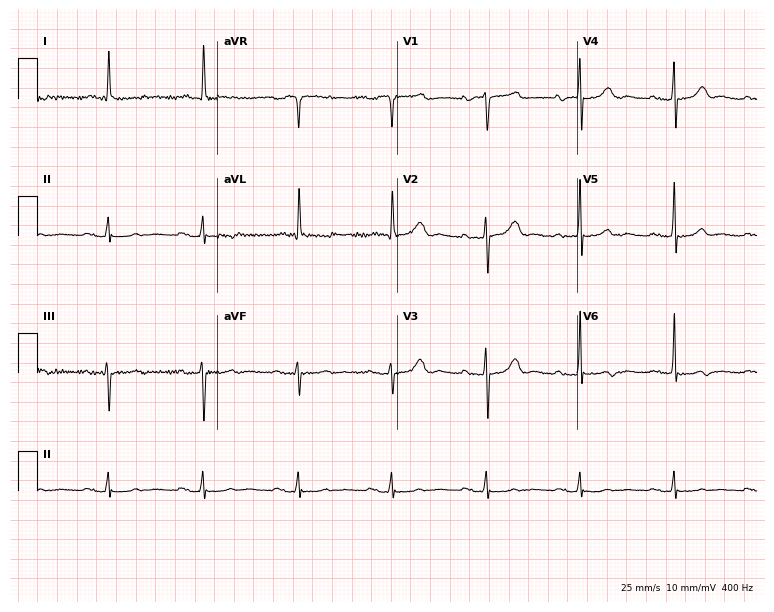
Standard 12-lead ECG recorded from a male patient, 83 years old (7.3-second recording at 400 Hz). None of these six findings is recorded: first-degree AV block, right bundle branch block (RBBB), left bundle branch block (LBBB), sinus bradycardia, atrial fibrillation (AF), sinus tachycardia.